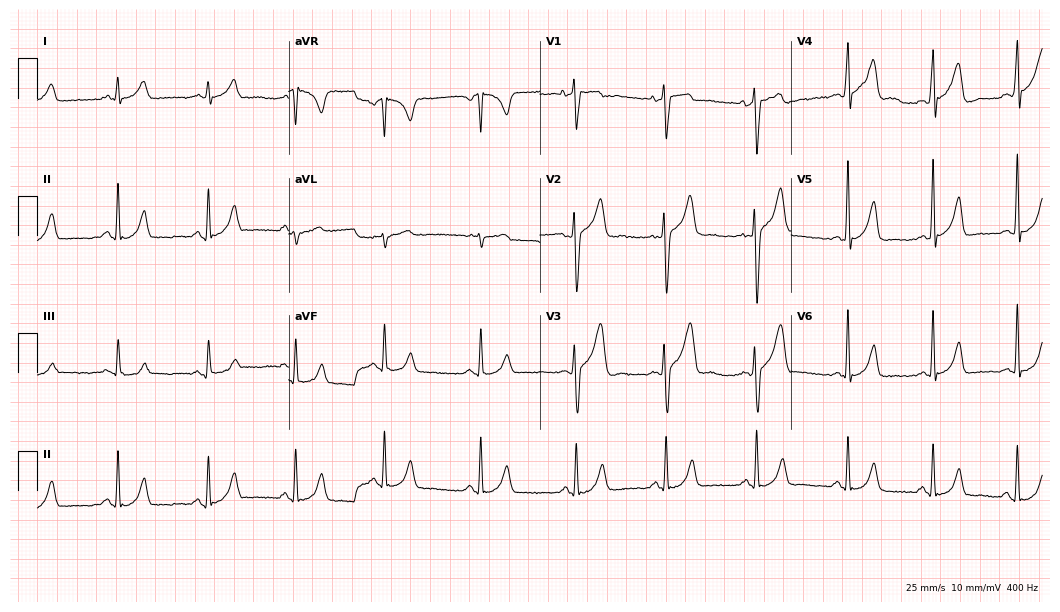
12-lead ECG from a male, 26 years old (10.2-second recording at 400 Hz). Recorded interpretation: within normal limits.